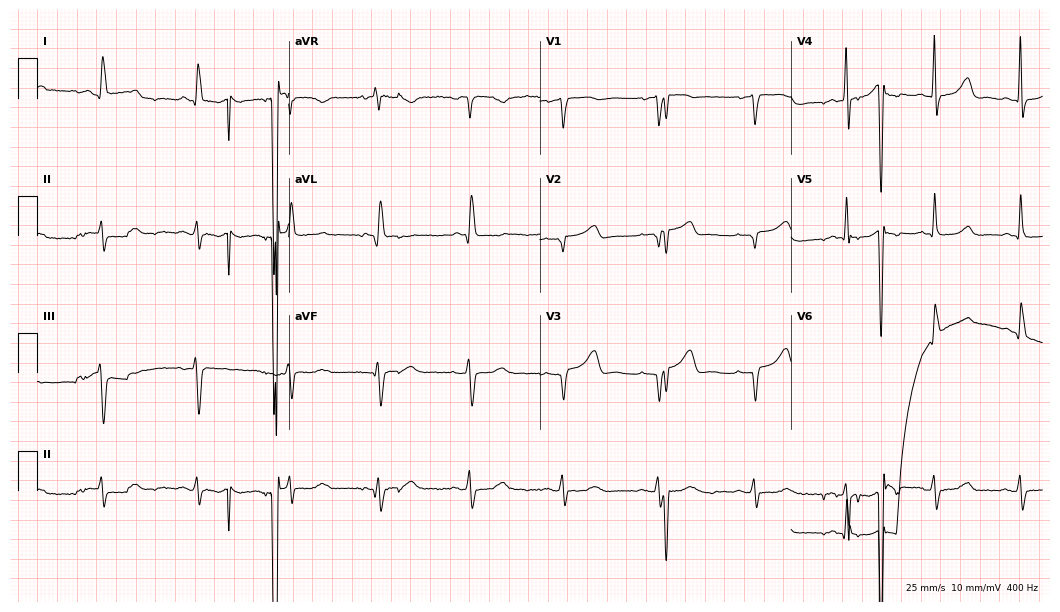
Resting 12-lead electrocardiogram (10.2-second recording at 400 Hz). Patient: a 77-year-old woman. The tracing shows left bundle branch block.